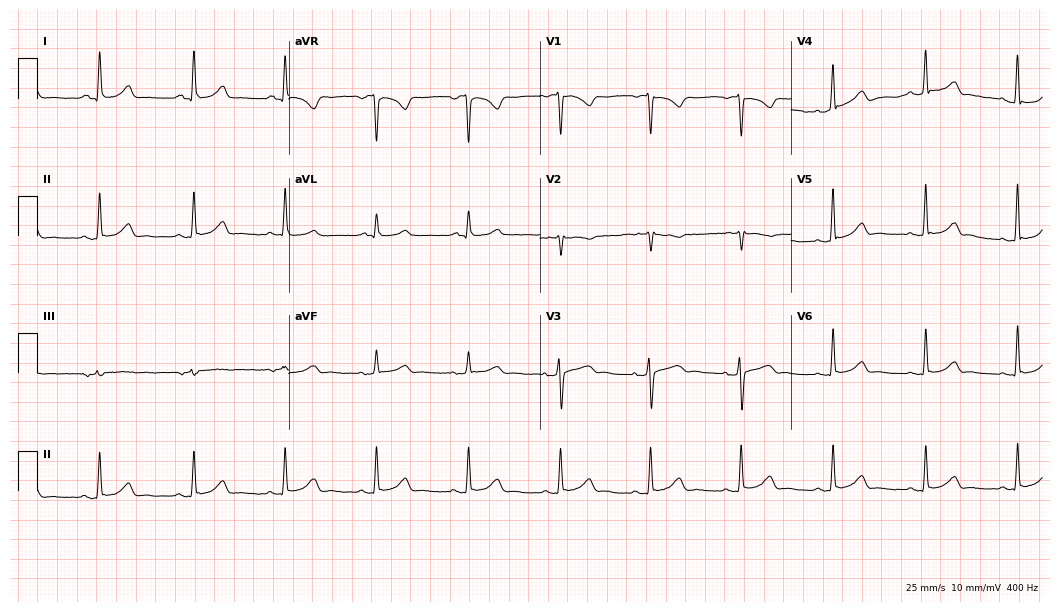
ECG — a woman, 59 years old. Labelled as a normal ECG.